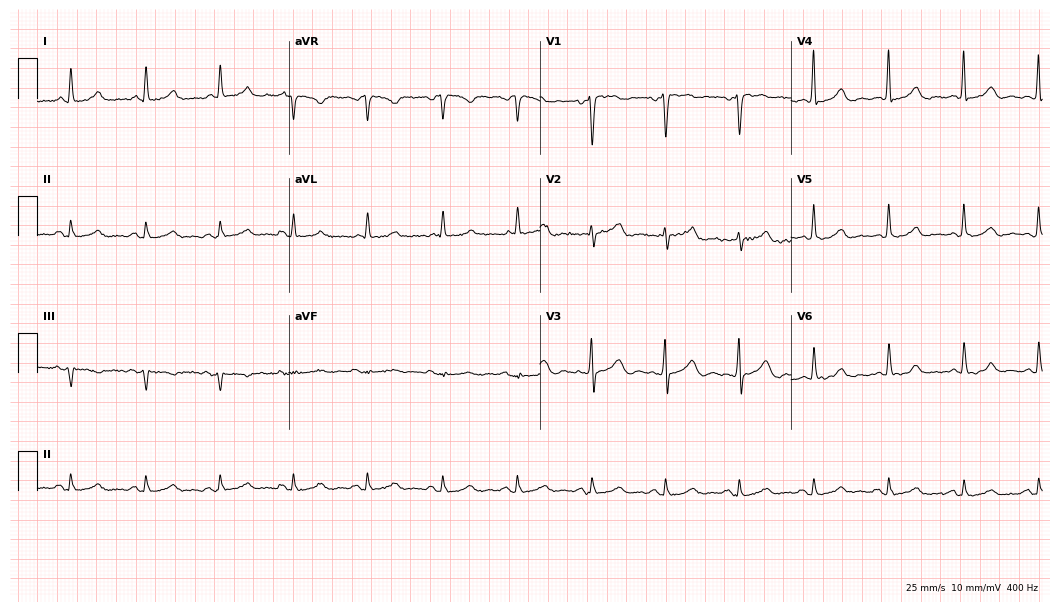
Electrocardiogram, a 62-year-old female. Of the six screened findings (first-degree AV block, right bundle branch block, left bundle branch block, sinus bradycardia, atrial fibrillation, sinus tachycardia), none is recorded. Findings outside these six are not listed.